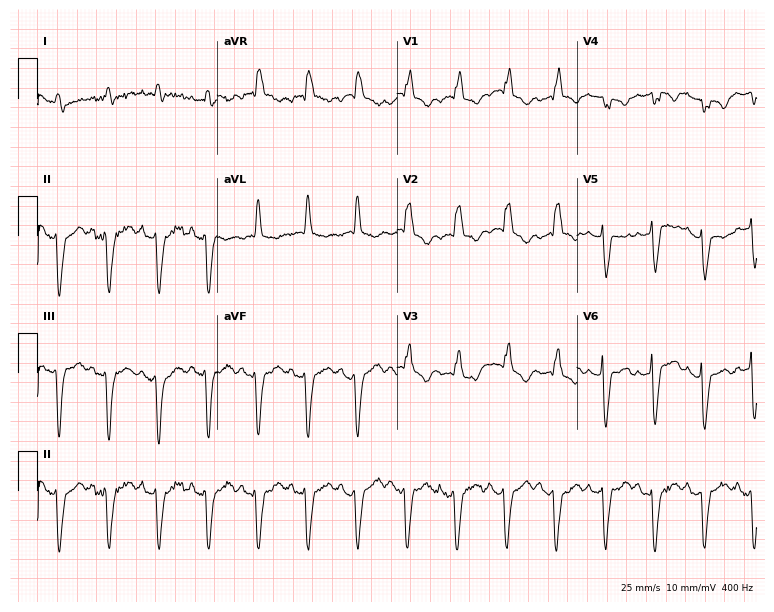
12-lead ECG (7.3-second recording at 400 Hz) from an 80-year-old woman. Findings include right bundle branch block, sinus tachycardia (a sinus rate of 100 beats per minute or more).